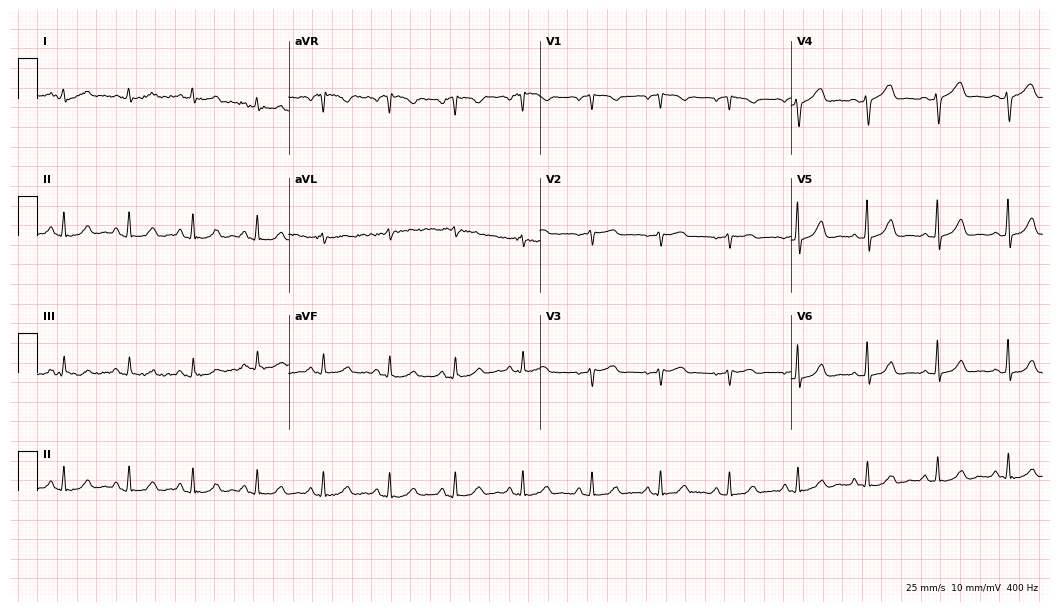
12-lead ECG from a 58-year-old woman. Recorded interpretation: within normal limits.